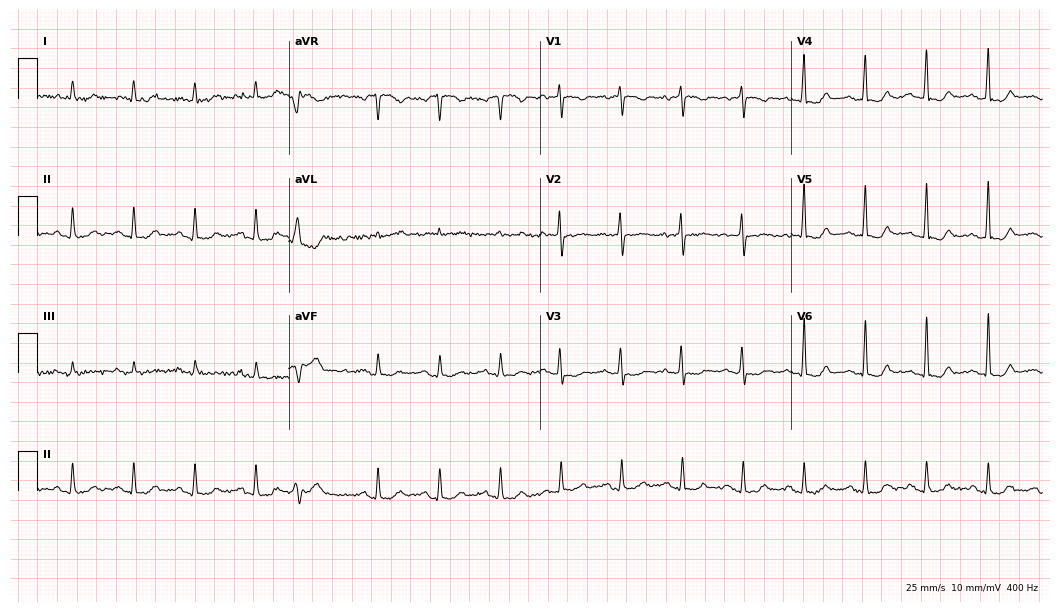
Standard 12-lead ECG recorded from an 80-year-old woman. None of these six findings is recorded: first-degree AV block, right bundle branch block, left bundle branch block, sinus bradycardia, atrial fibrillation, sinus tachycardia. Only these six findings were labelled.